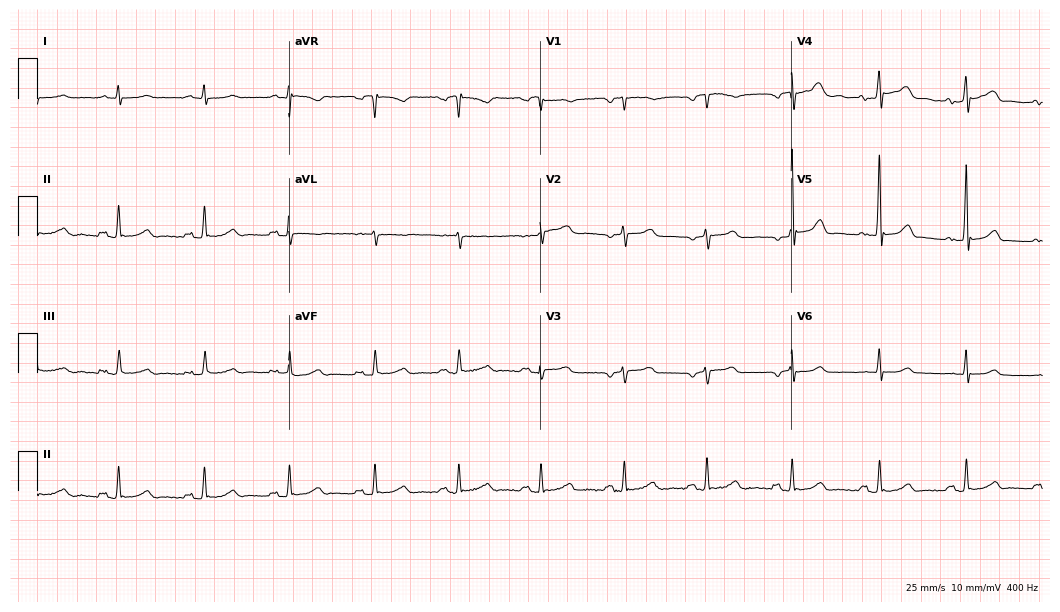
Resting 12-lead electrocardiogram (10.2-second recording at 400 Hz). Patient: a female, 60 years old. Read as a normal ECG.